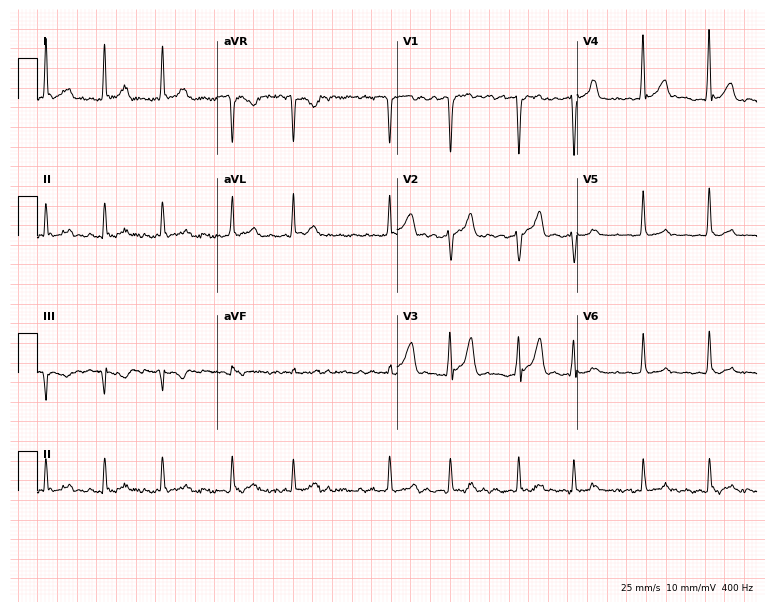
Electrocardiogram (7.3-second recording at 400 Hz), a 41-year-old male. Interpretation includes atrial fibrillation.